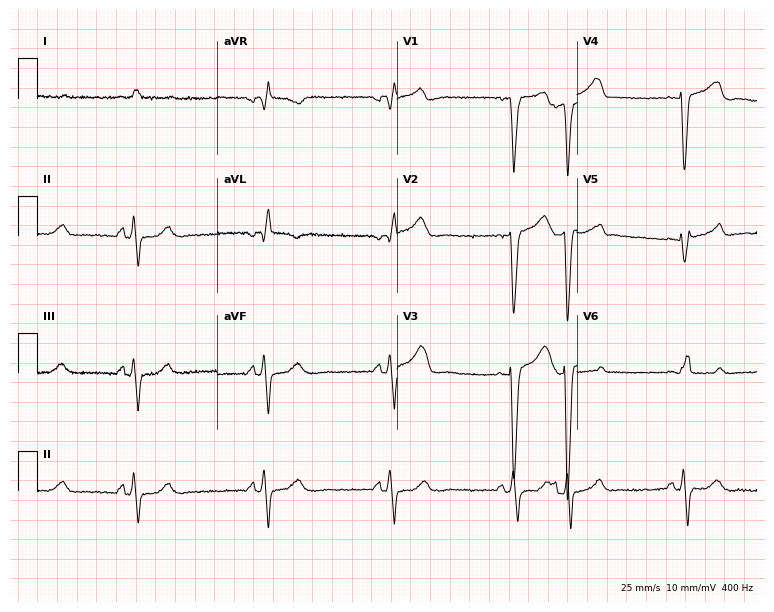
ECG (7.3-second recording at 400 Hz) — an 84-year-old male. Findings include left bundle branch block.